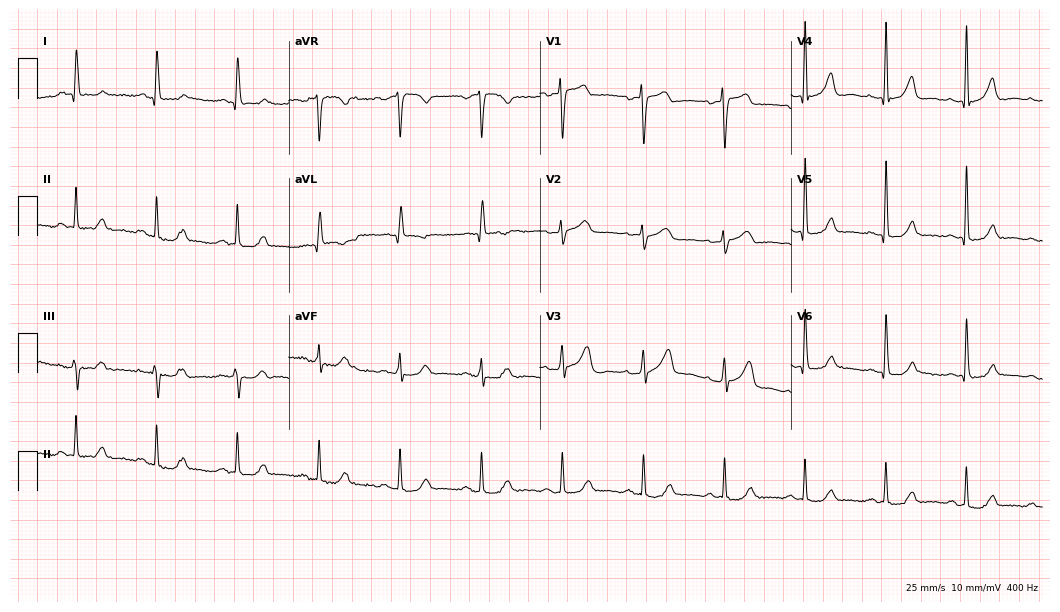
ECG — a 76-year-old female. Screened for six findings — first-degree AV block, right bundle branch block, left bundle branch block, sinus bradycardia, atrial fibrillation, sinus tachycardia — none is recorded.